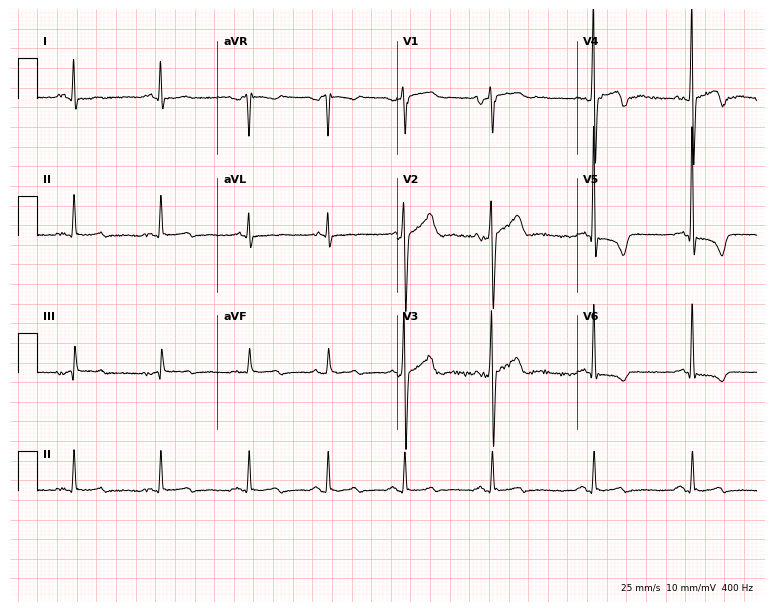
Resting 12-lead electrocardiogram (7.3-second recording at 400 Hz). Patient: a male, 48 years old. None of these six findings is recorded: first-degree AV block, right bundle branch block, left bundle branch block, sinus bradycardia, atrial fibrillation, sinus tachycardia.